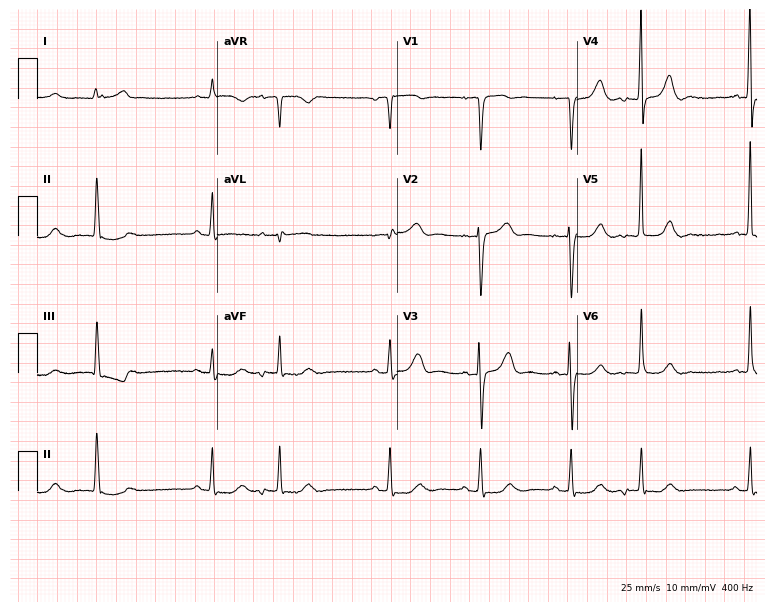
12-lead ECG from a male patient, 67 years old (7.3-second recording at 400 Hz). No first-degree AV block, right bundle branch block, left bundle branch block, sinus bradycardia, atrial fibrillation or sinus tachycardia recorded for this tracing. Only these six findings were labelled.